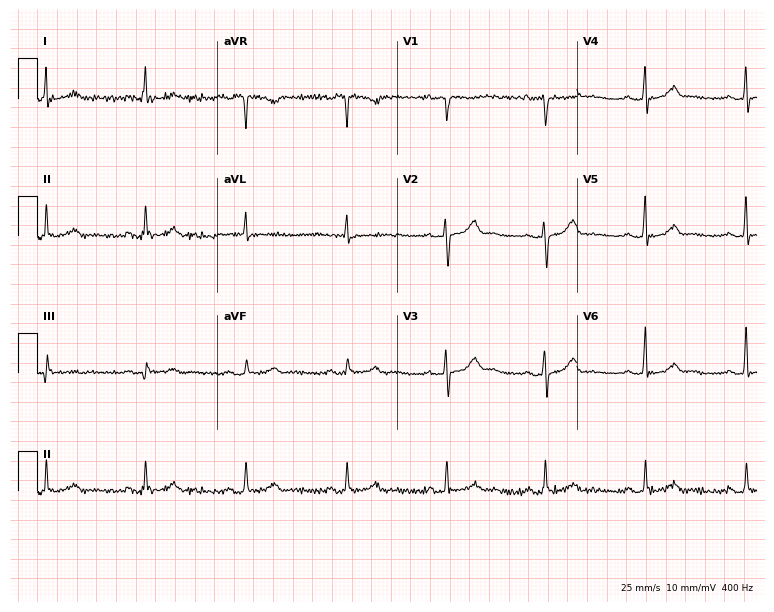
ECG — a female, 41 years old. Screened for six findings — first-degree AV block, right bundle branch block, left bundle branch block, sinus bradycardia, atrial fibrillation, sinus tachycardia — none is recorded.